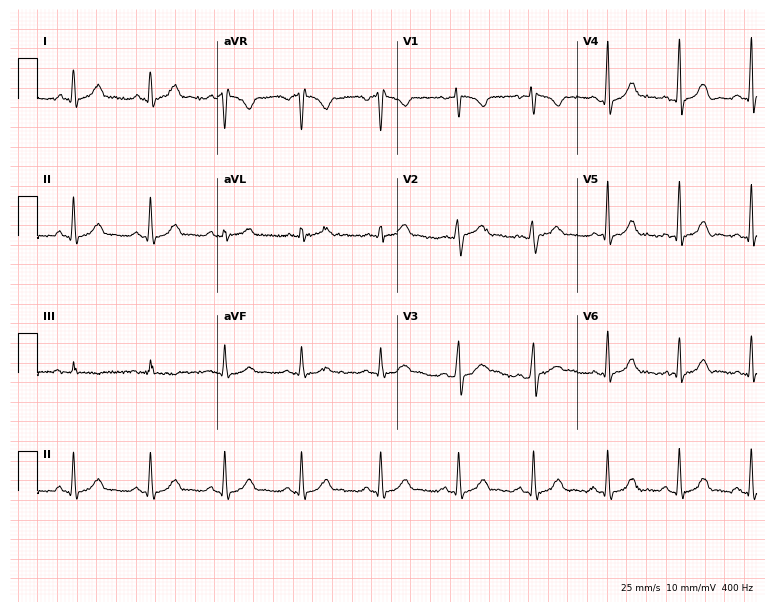
Resting 12-lead electrocardiogram (7.3-second recording at 400 Hz). Patient: a 39-year-old male. Read as a normal ECG.